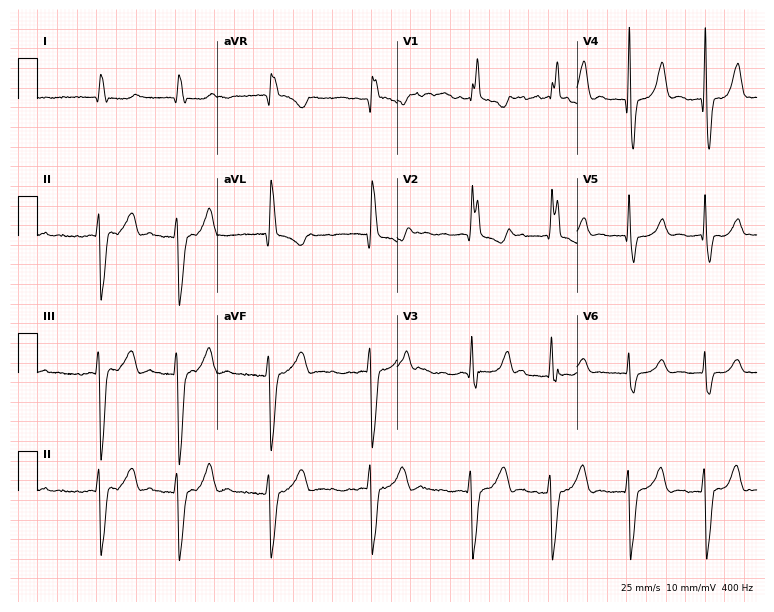
Resting 12-lead electrocardiogram (7.3-second recording at 400 Hz). Patient: a woman, 73 years old. The tracing shows right bundle branch block, atrial fibrillation.